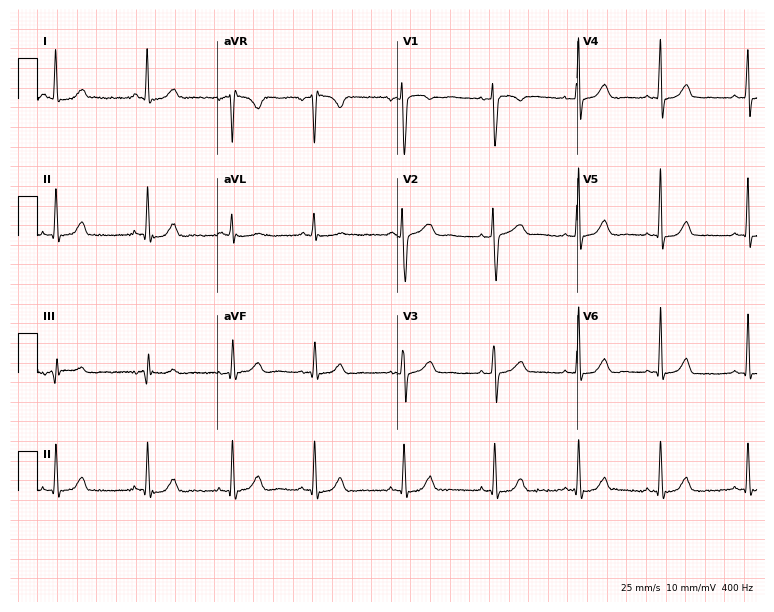
12-lead ECG from a female patient, 25 years old. Labelled as a normal ECG.